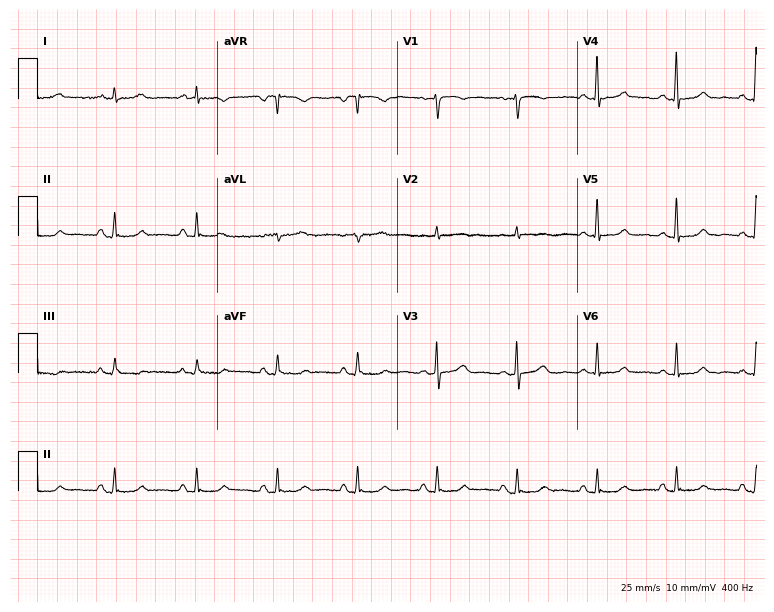
Standard 12-lead ECG recorded from a 53-year-old female patient. None of these six findings is recorded: first-degree AV block, right bundle branch block (RBBB), left bundle branch block (LBBB), sinus bradycardia, atrial fibrillation (AF), sinus tachycardia. Only these six findings were labelled.